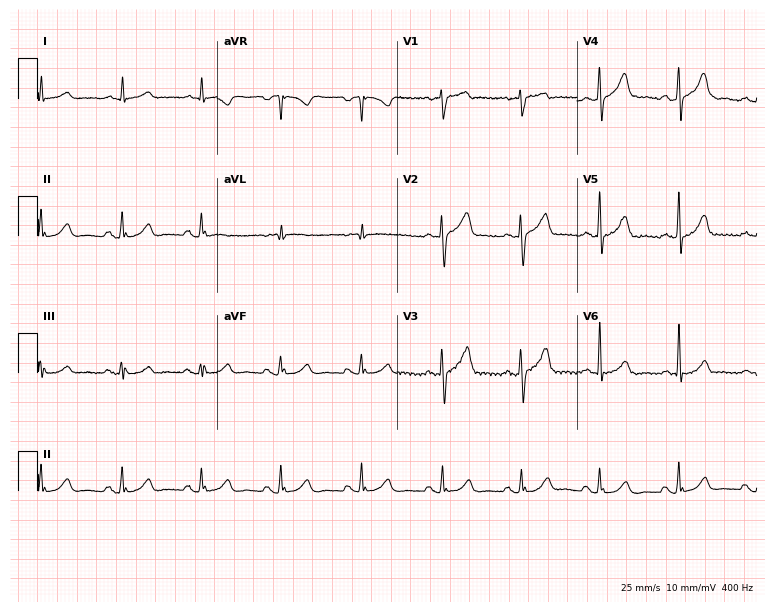
Standard 12-lead ECG recorded from a 75-year-old man (7.3-second recording at 400 Hz). Read as a normal ECG.